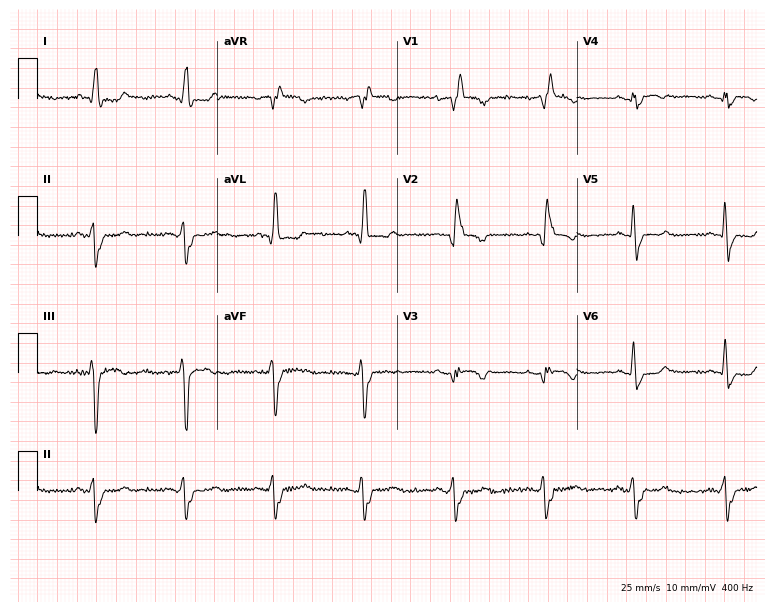
12-lead ECG from a female, 56 years old (7.3-second recording at 400 Hz). Shows right bundle branch block.